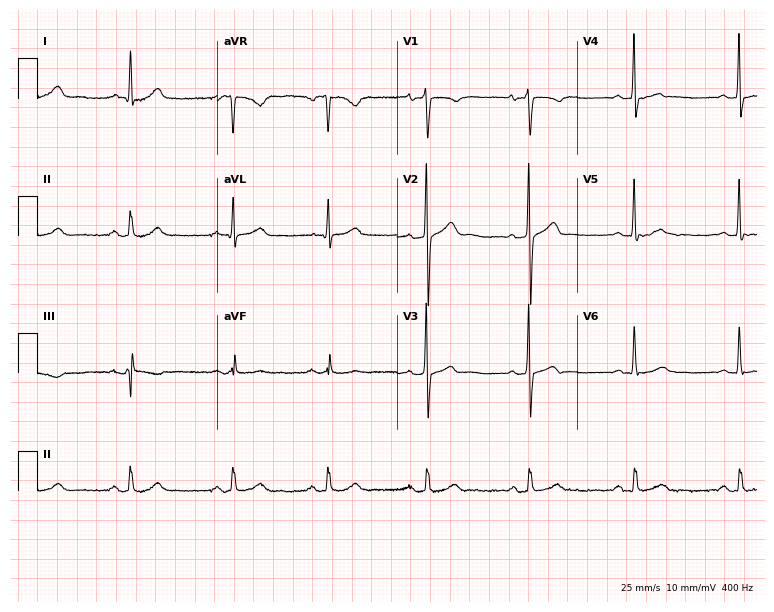
12-lead ECG from a 41-year-old male patient. Labelled as a normal ECG.